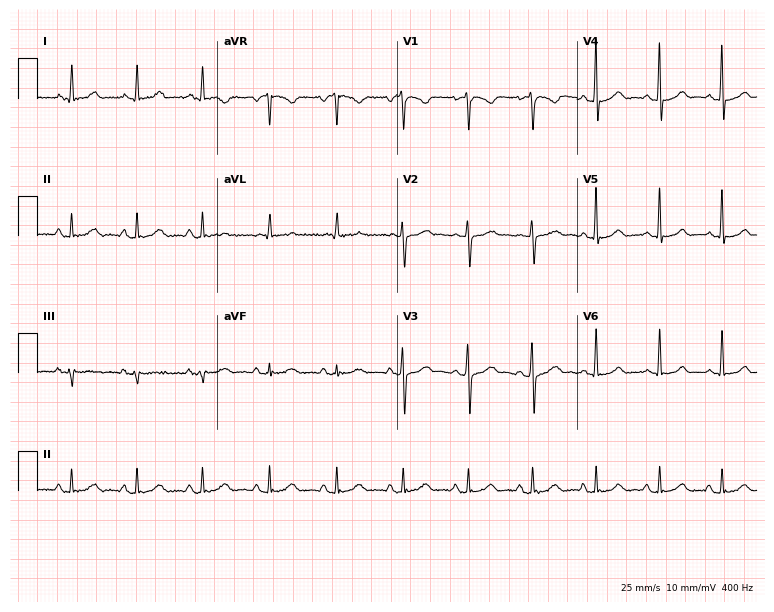
Resting 12-lead electrocardiogram. Patient: a female, 36 years old. Read as a normal ECG.